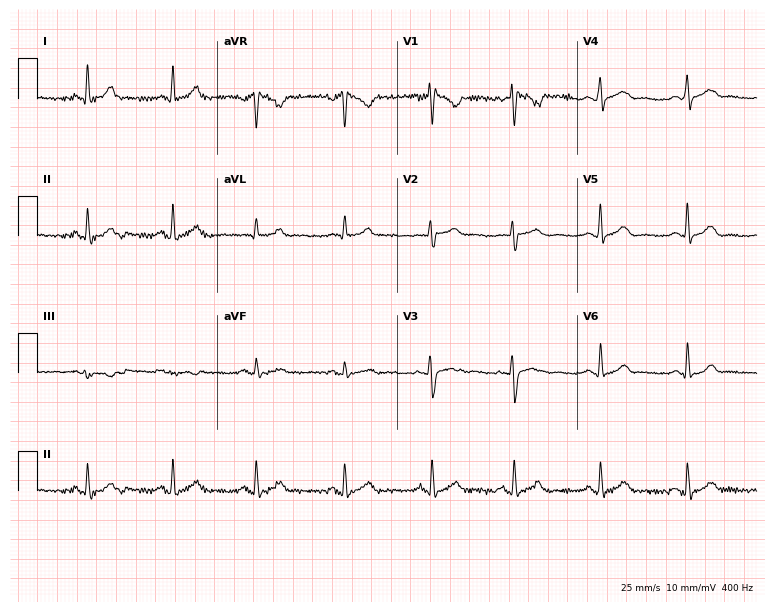
Electrocardiogram, a 29-year-old female. Overall reading on record: normal ECG.